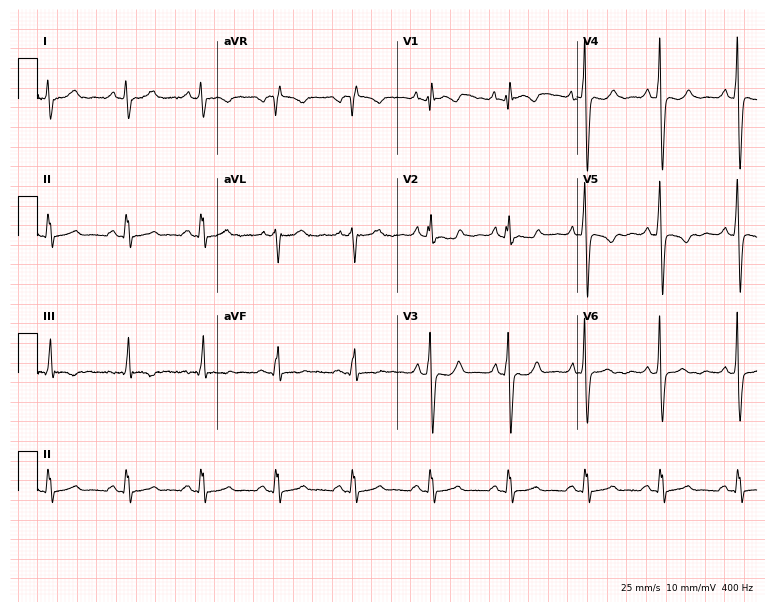
ECG (7.3-second recording at 400 Hz) — a female, 34 years old. Screened for six findings — first-degree AV block, right bundle branch block, left bundle branch block, sinus bradycardia, atrial fibrillation, sinus tachycardia — none is recorded. Findings outside these six are not listed.